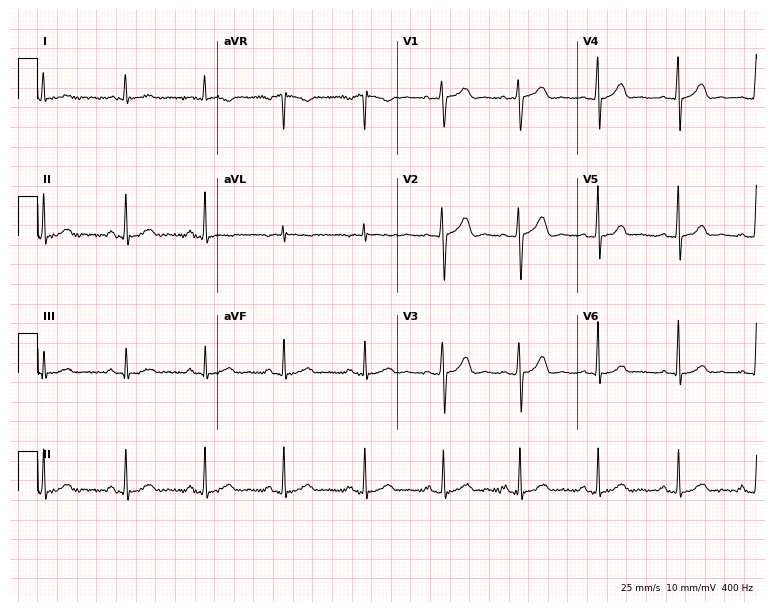
12-lead ECG (7.3-second recording at 400 Hz) from a female, 38 years old. Labelled as a normal ECG.